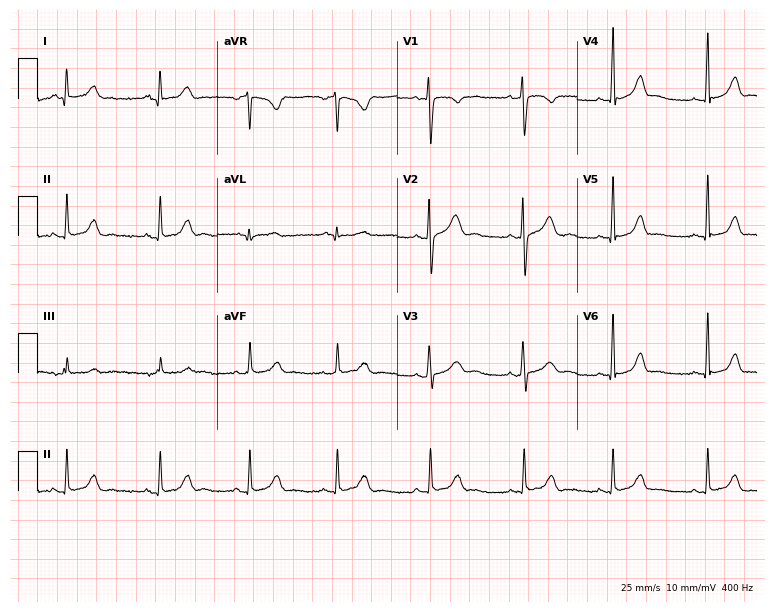
Electrocardiogram, an 18-year-old female. Of the six screened findings (first-degree AV block, right bundle branch block (RBBB), left bundle branch block (LBBB), sinus bradycardia, atrial fibrillation (AF), sinus tachycardia), none is recorded. Findings outside these six are not listed.